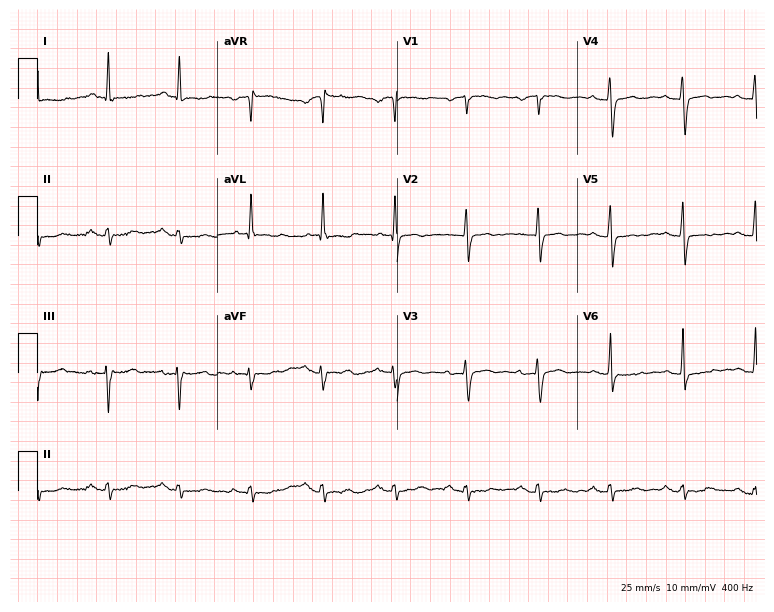
Electrocardiogram, a woman, 85 years old. Overall reading on record: normal ECG.